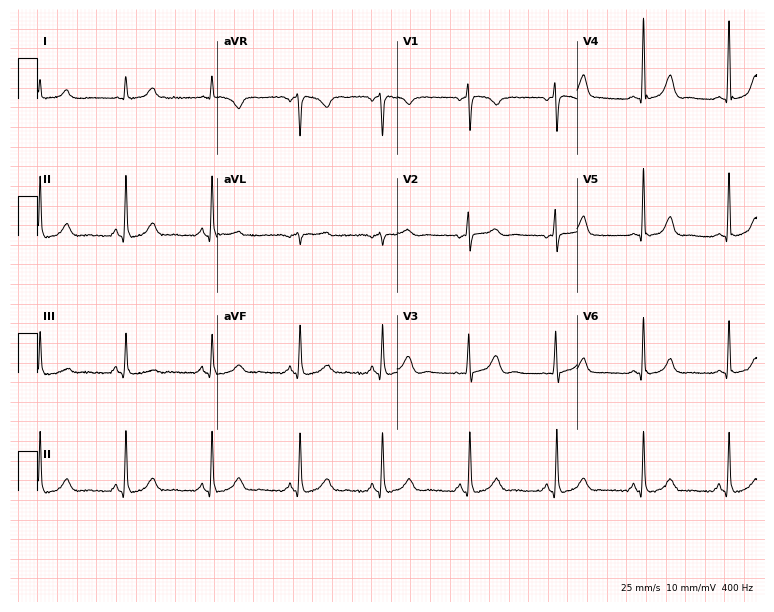
Standard 12-lead ECG recorded from a female, 41 years old. Read as a normal ECG.